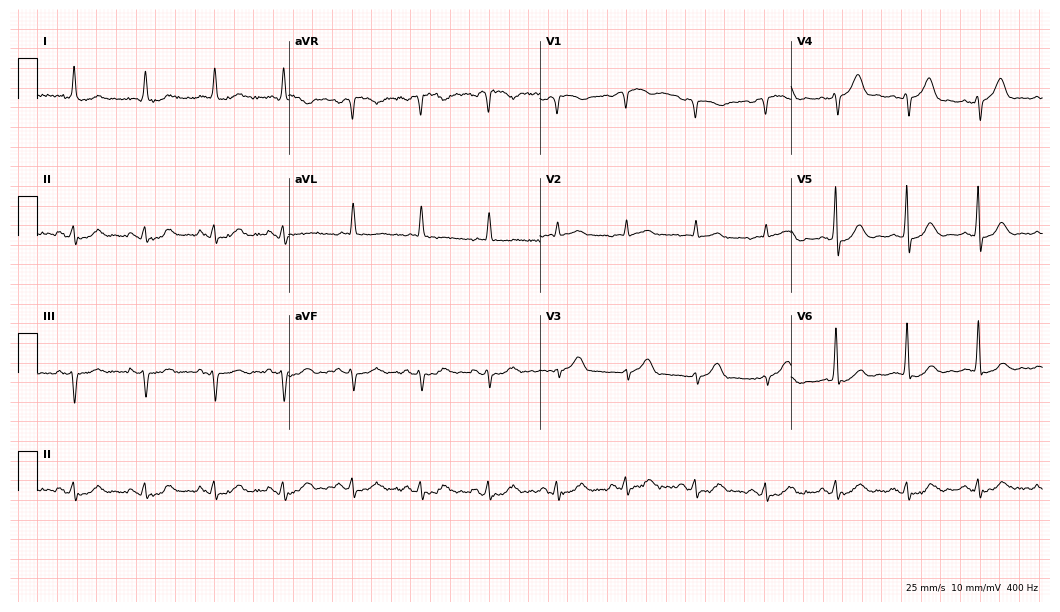
Electrocardiogram (10.2-second recording at 400 Hz), a 79-year-old man. Of the six screened findings (first-degree AV block, right bundle branch block, left bundle branch block, sinus bradycardia, atrial fibrillation, sinus tachycardia), none is recorded. Other findings, if any, are not listed.